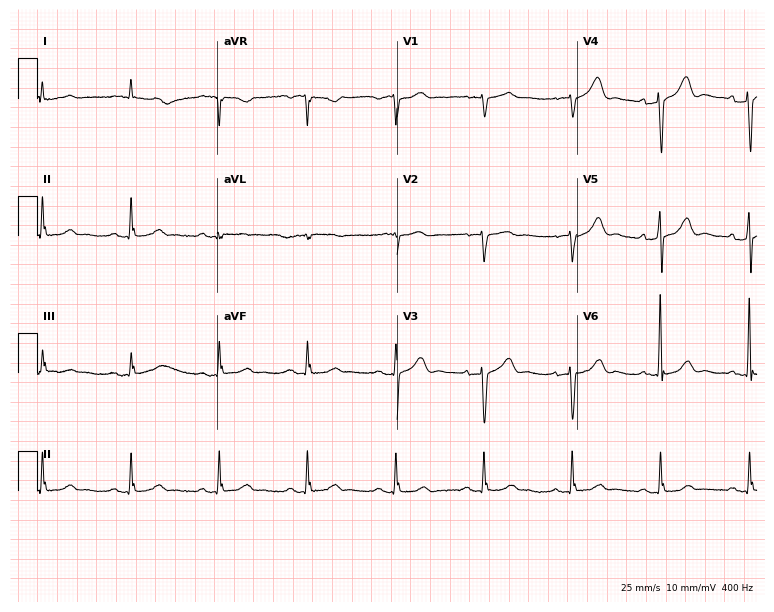
Standard 12-lead ECG recorded from a 79-year-old male patient (7.3-second recording at 400 Hz). None of these six findings is recorded: first-degree AV block, right bundle branch block (RBBB), left bundle branch block (LBBB), sinus bradycardia, atrial fibrillation (AF), sinus tachycardia.